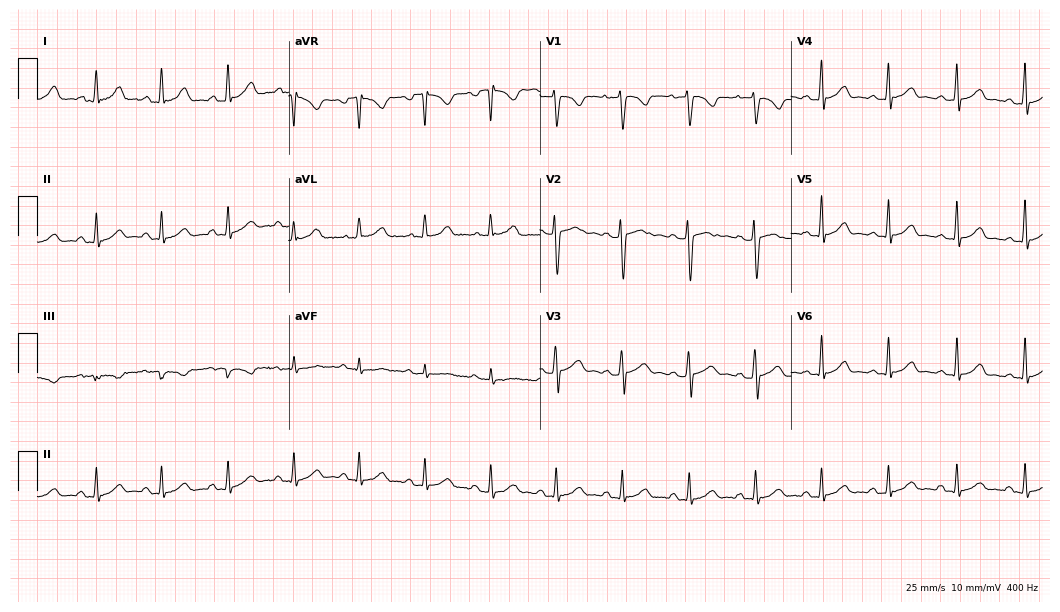
ECG — a woman, 28 years old. Labelled as a normal ECG.